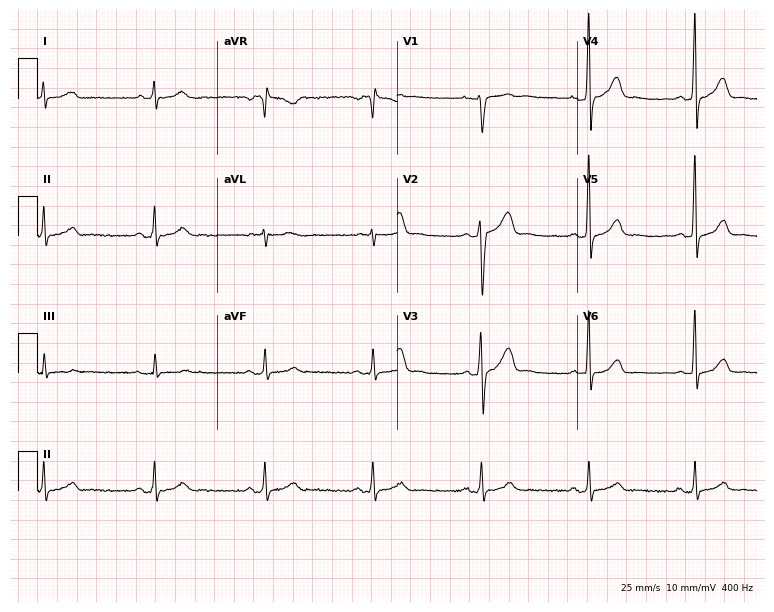
Resting 12-lead electrocardiogram (7.3-second recording at 400 Hz). Patient: a male, 44 years old. Read as a normal ECG.